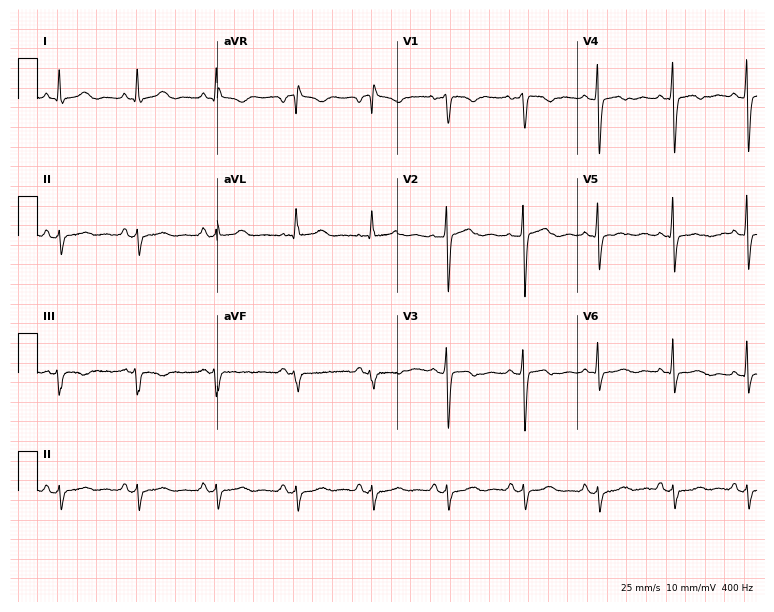
Standard 12-lead ECG recorded from a female patient, 61 years old. None of these six findings is recorded: first-degree AV block, right bundle branch block (RBBB), left bundle branch block (LBBB), sinus bradycardia, atrial fibrillation (AF), sinus tachycardia. Findings outside these six are not listed.